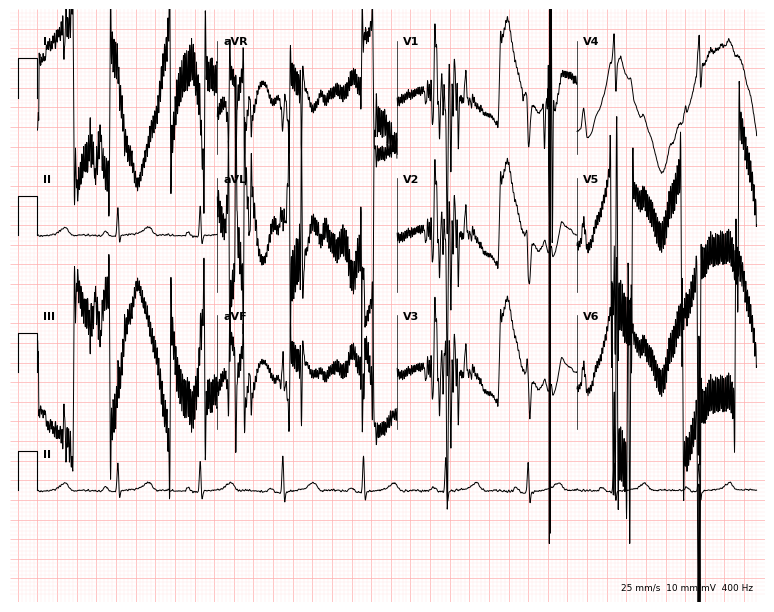
ECG — a 51-year-old female patient. Screened for six findings — first-degree AV block, right bundle branch block, left bundle branch block, sinus bradycardia, atrial fibrillation, sinus tachycardia — none is recorded.